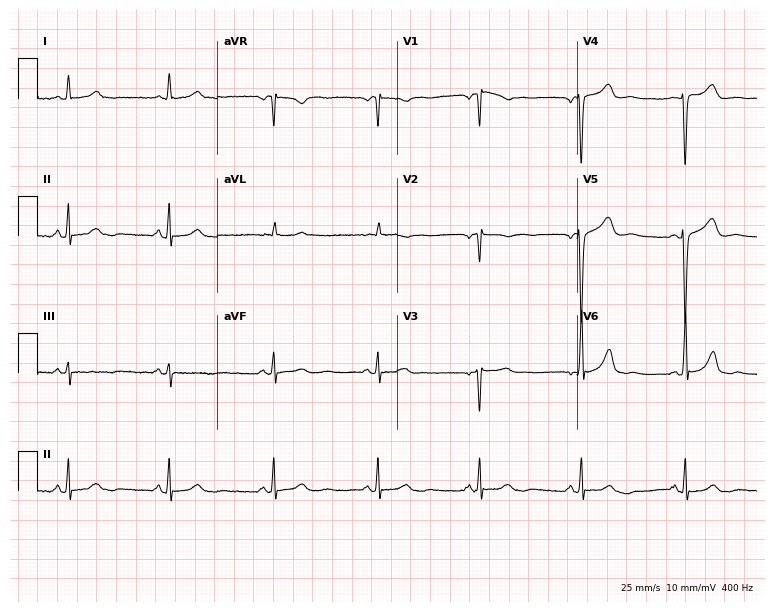
12-lead ECG from a 55-year-old woman. No first-degree AV block, right bundle branch block, left bundle branch block, sinus bradycardia, atrial fibrillation or sinus tachycardia recorded for this tracing. Findings outside these six are not listed.